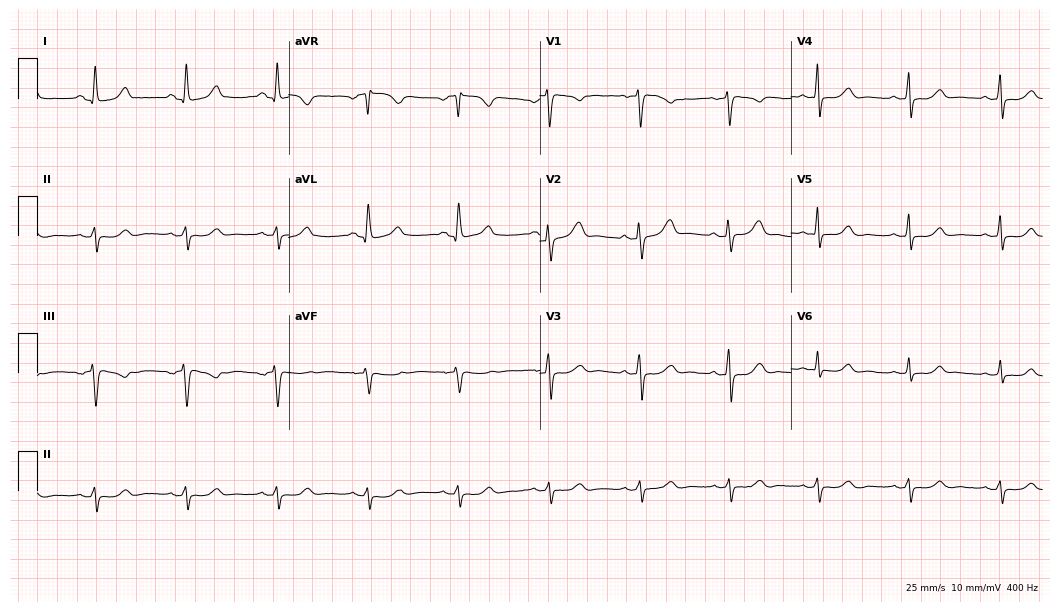
12-lead ECG (10.2-second recording at 400 Hz) from a 43-year-old female. Screened for six findings — first-degree AV block, right bundle branch block, left bundle branch block, sinus bradycardia, atrial fibrillation, sinus tachycardia — none is recorded. Findings outside these six are not listed.